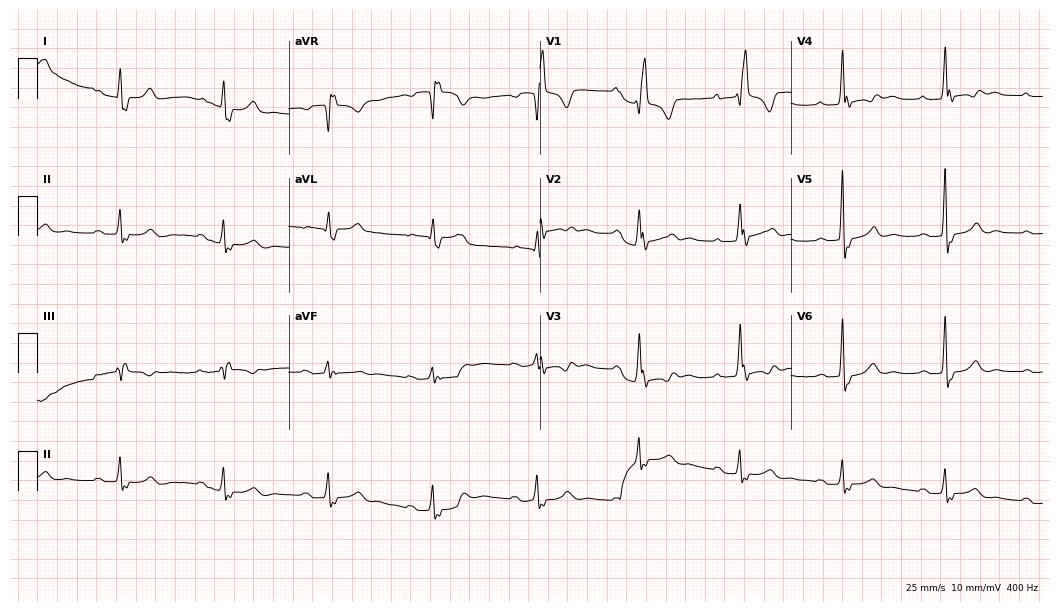
Standard 12-lead ECG recorded from a 54-year-old male patient. The tracing shows first-degree AV block, right bundle branch block.